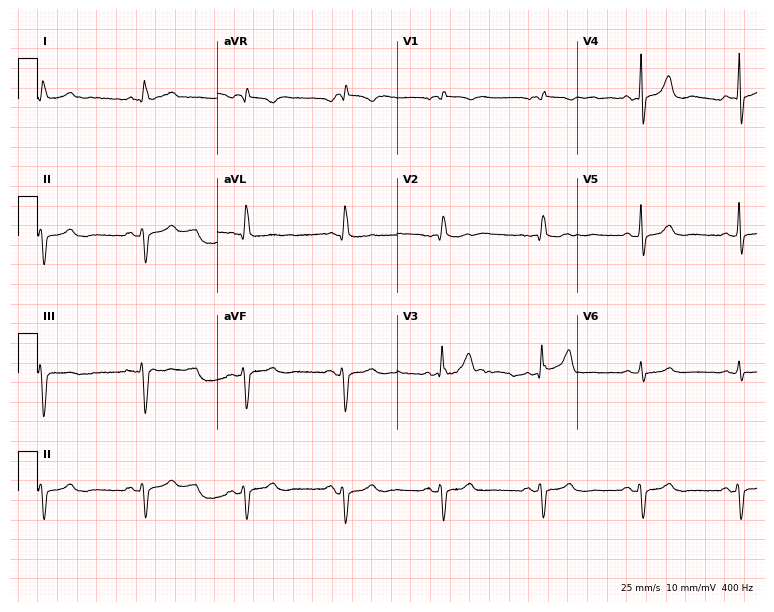
Electrocardiogram, a 77-year-old male patient. Of the six screened findings (first-degree AV block, right bundle branch block, left bundle branch block, sinus bradycardia, atrial fibrillation, sinus tachycardia), none is recorded.